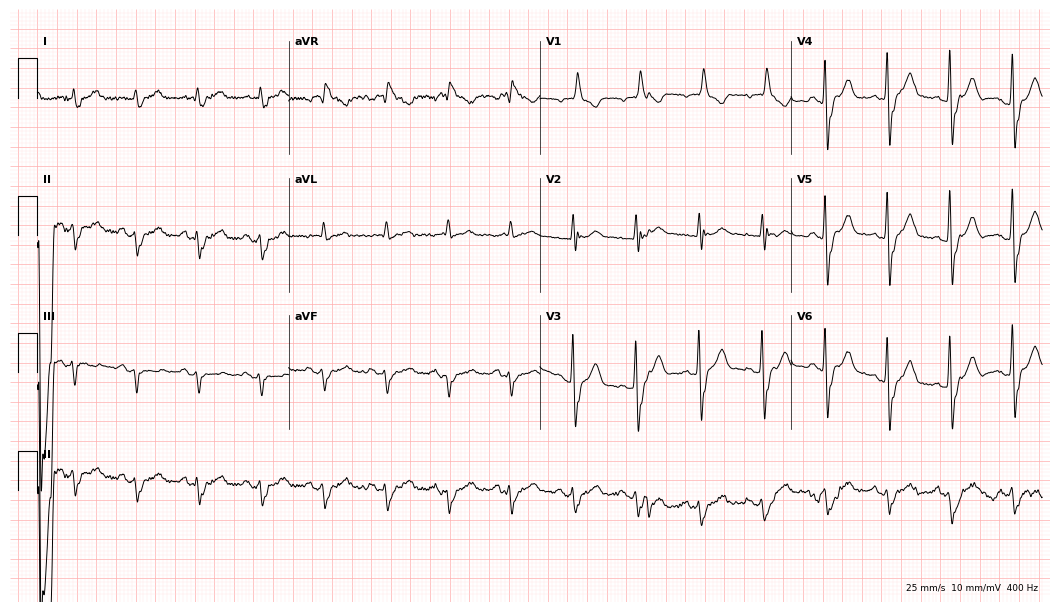
Electrocardiogram, a 77-year-old male patient. Interpretation includes right bundle branch block.